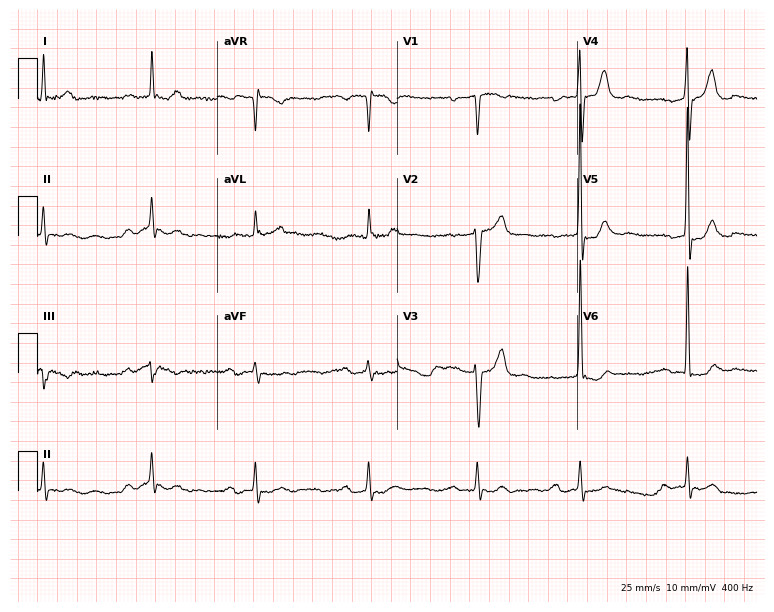
ECG — a male patient, 78 years old. Findings include first-degree AV block.